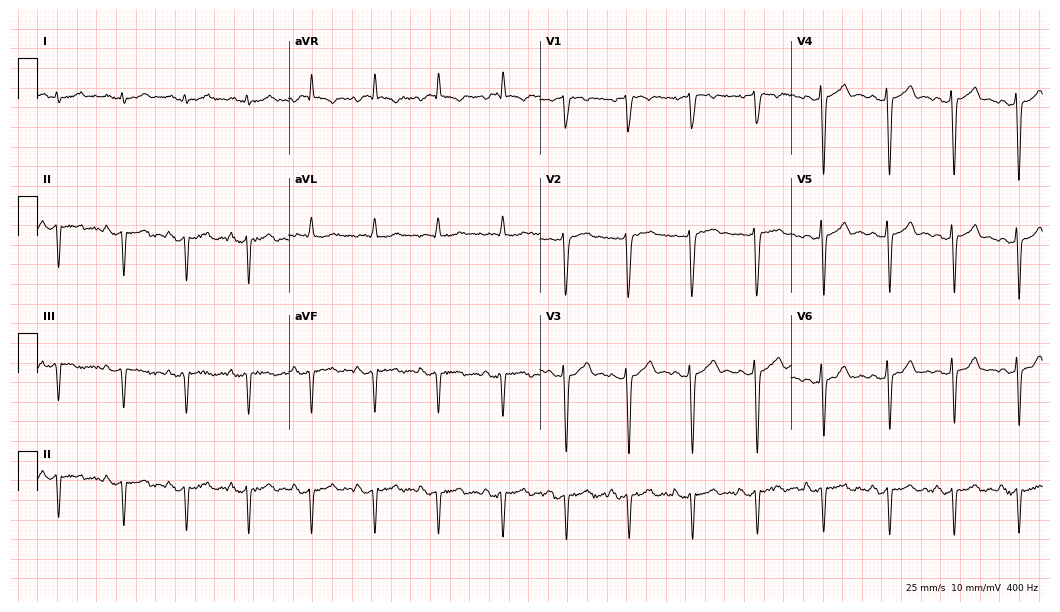
Resting 12-lead electrocardiogram. Patient: a male, 65 years old. None of these six findings is recorded: first-degree AV block, right bundle branch block, left bundle branch block, sinus bradycardia, atrial fibrillation, sinus tachycardia.